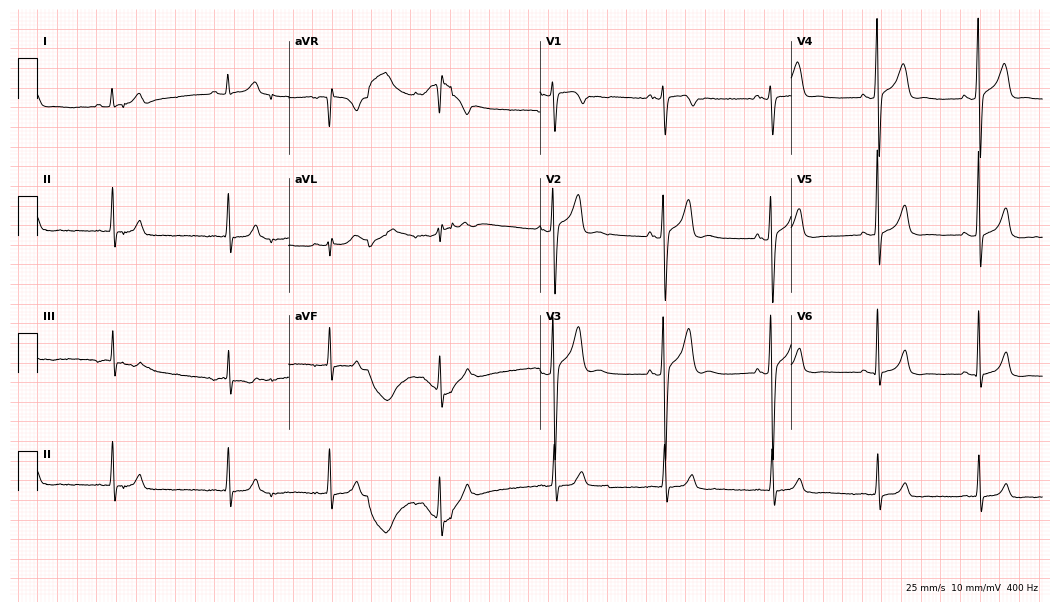
Resting 12-lead electrocardiogram. Patient: a 23-year-old male. None of these six findings is recorded: first-degree AV block, right bundle branch block, left bundle branch block, sinus bradycardia, atrial fibrillation, sinus tachycardia. Findings outside these six are not listed.